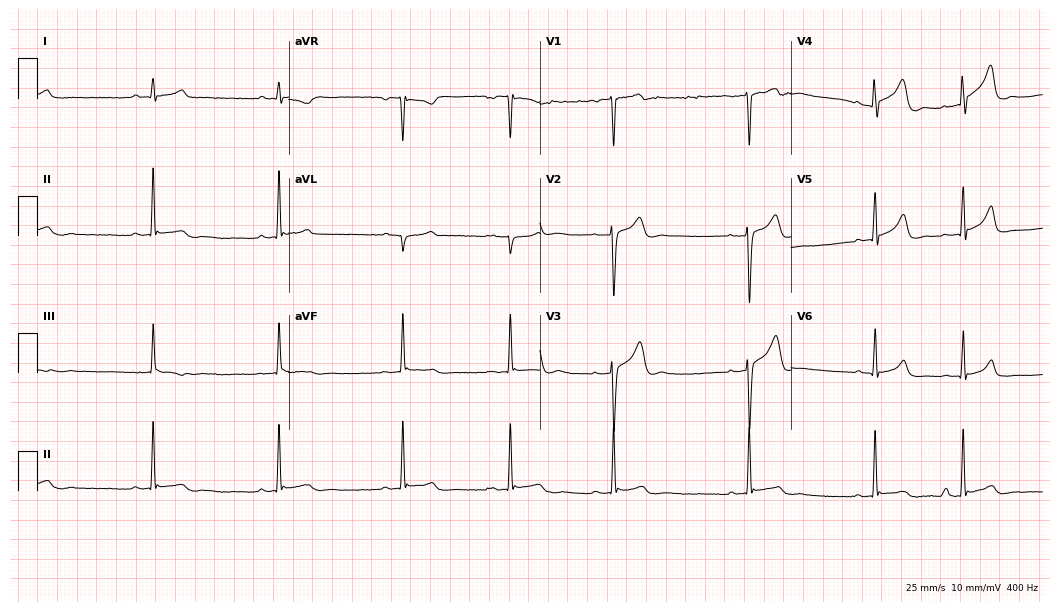
Resting 12-lead electrocardiogram. Patient: an 18-year-old male. Read as a normal ECG.